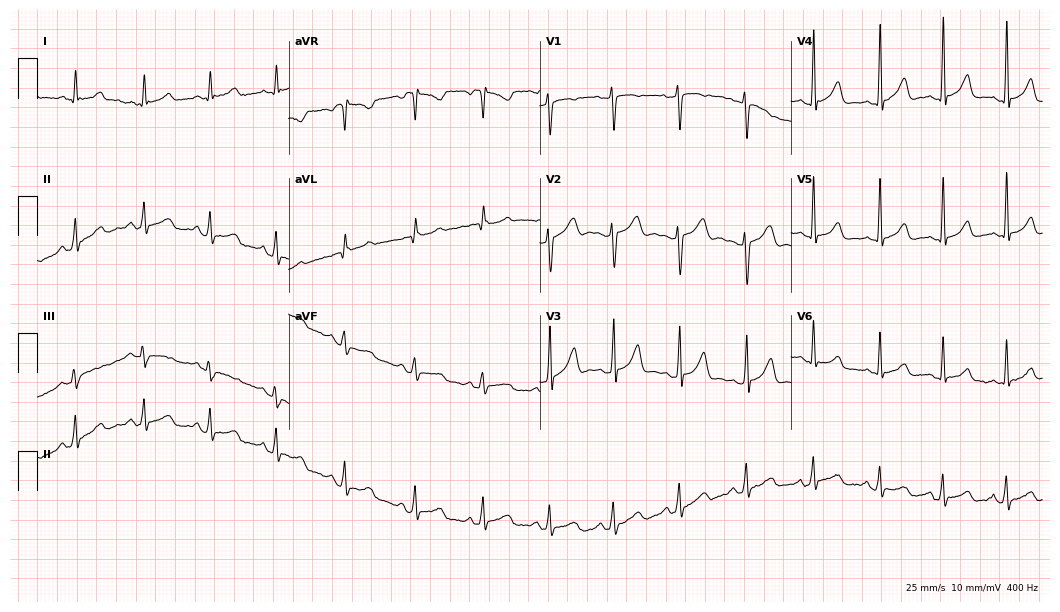
Electrocardiogram (10.2-second recording at 400 Hz), a 26-year-old female patient. Overall reading on record: normal ECG.